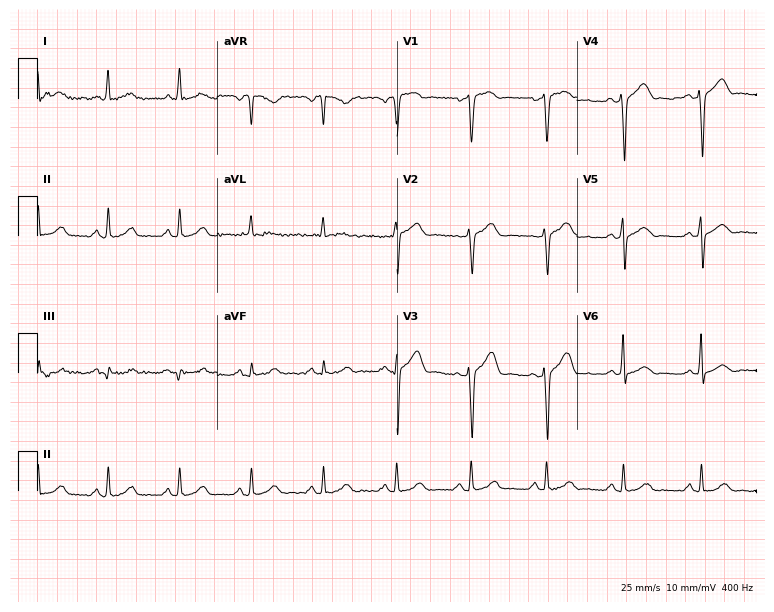
Electrocardiogram (7.3-second recording at 400 Hz), a female, 53 years old. Of the six screened findings (first-degree AV block, right bundle branch block (RBBB), left bundle branch block (LBBB), sinus bradycardia, atrial fibrillation (AF), sinus tachycardia), none is recorded. Other findings, if any, are not listed.